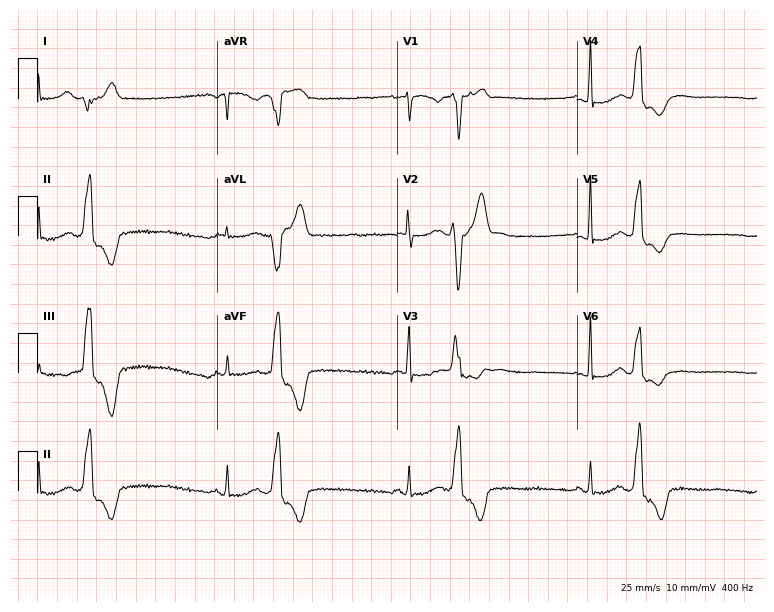
ECG — a female patient, 38 years old. Screened for six findings — first-degree AV block, right bundle branch block, left bundle branch block, sinus bradycardia, atrial fibrillation, sinus tachycardia — none is recorded.